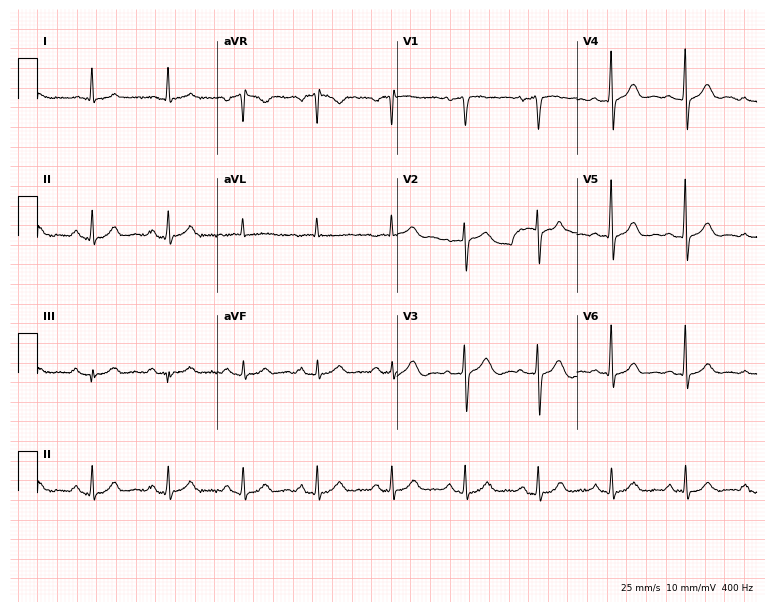
Standard 12-lead ECG recorded from a 62-year-old male patient. None of these six findings is recorded: first-degree AV block, right bundle branch block (RBBB), left bundle branch block (LBBB), sinus bradycardia, atrial fibrillation (AF), sinus tachycardia. Findings outside these six are not listed.